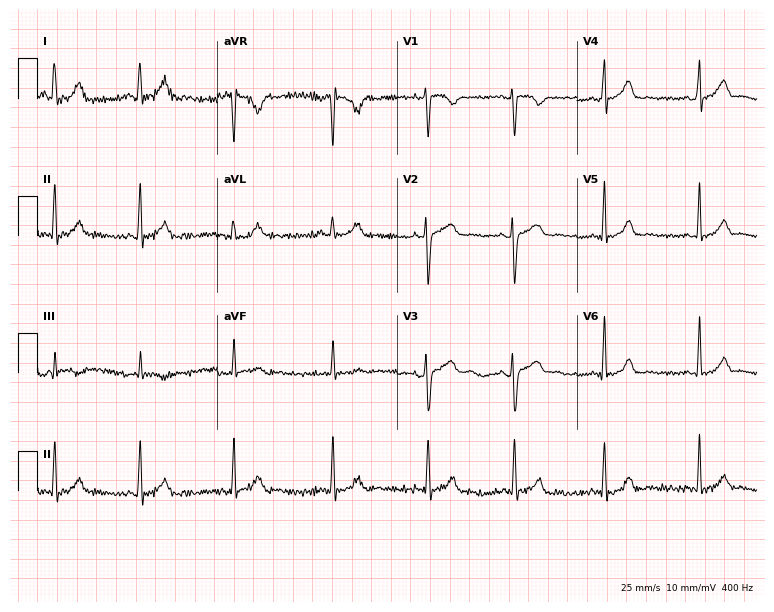
Standard 12-lead ECG recorded from a female, 27 years old. Read as a normal ECG.